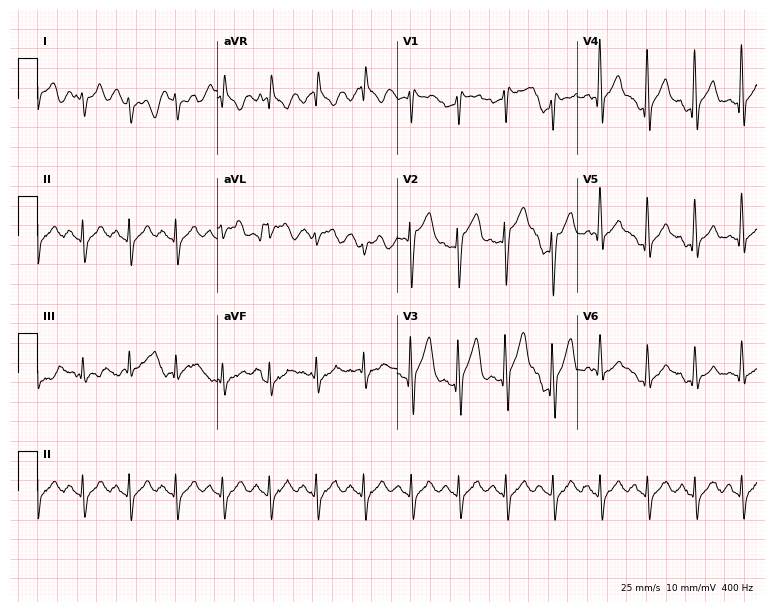
ECG (7.3-second recording at 400 Hz) — a male patient, 43 years old. Findings include sinus tachycardia (a sinus rate of 100 beats per minute or more).